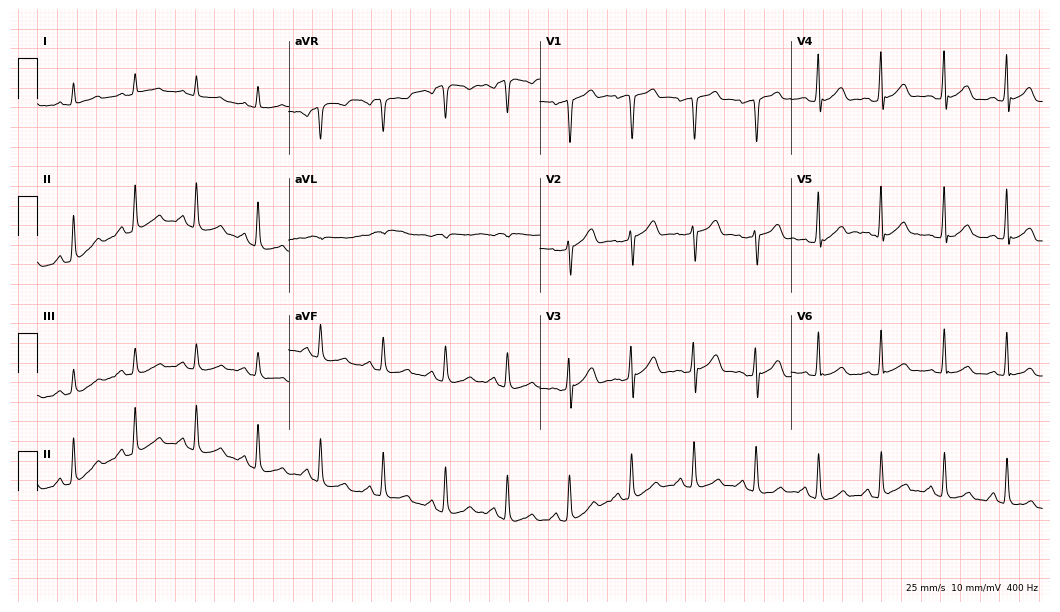
12-lead ECG (10.2-second recording at 400 Hz) from a 67-year-old male. Labelled as a normal ECG.